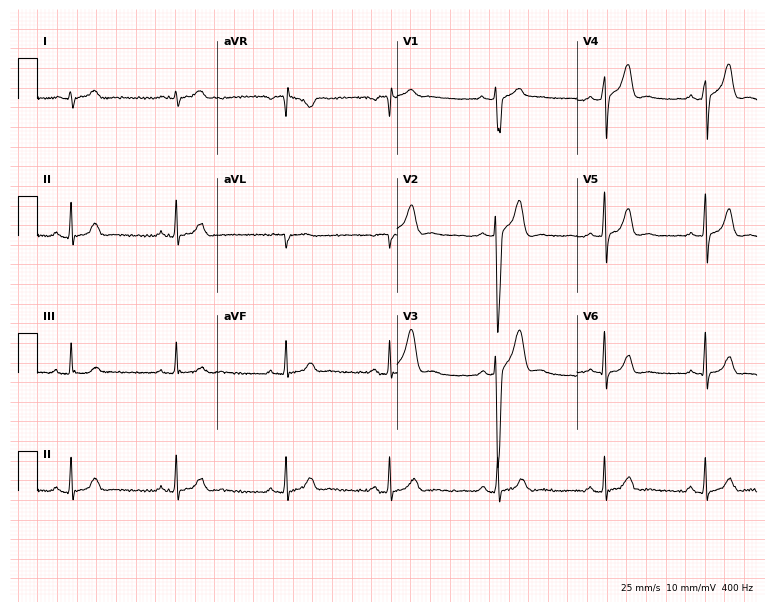
ECG — a male, 29 years old. Labelled as a normal ECG.